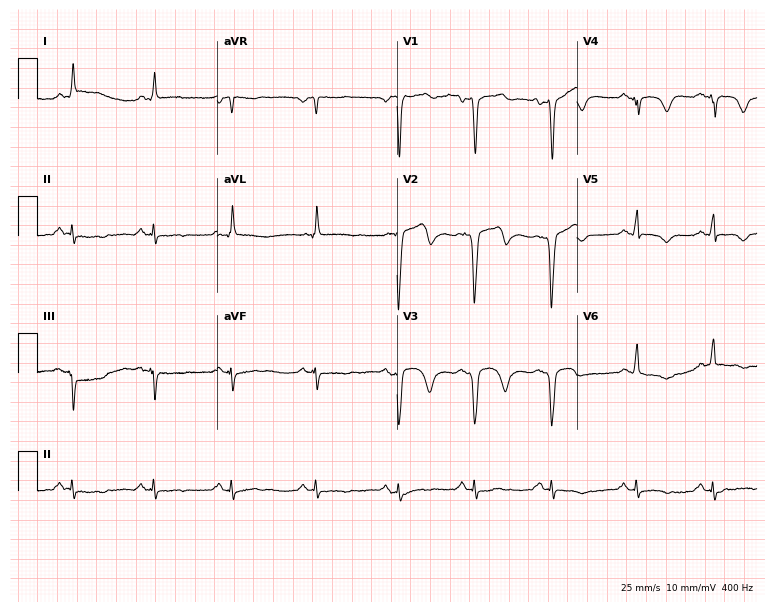
Resting 12-lead electrocardiogram. Patient: a 70-year-old man. None of these six findings is recorded: first-degree AV block, right bundle branch block, left bundle branch block, sinus bradycardia, atrial fibrillation, sinus tachycardia.